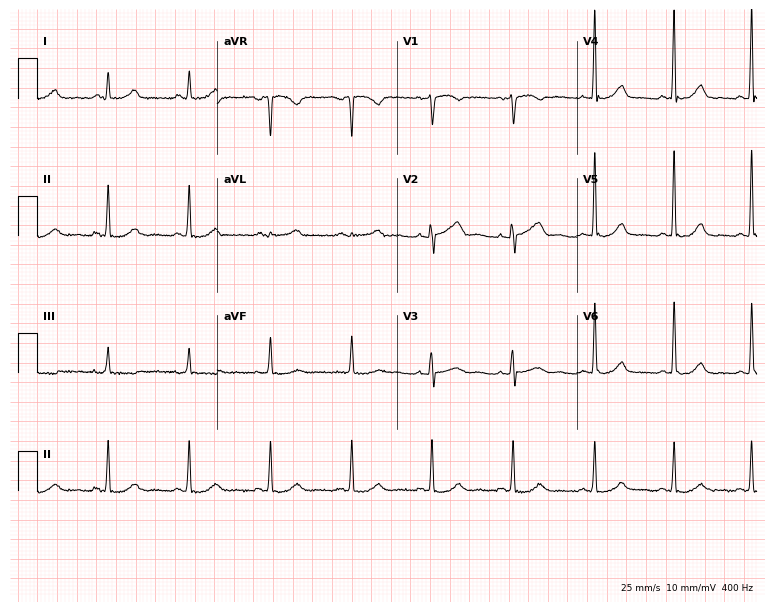
Electrocardiogram (7.3-second recording at 400 Hz), a 47-year-old female patient. Overall reading on record: normal ECG.